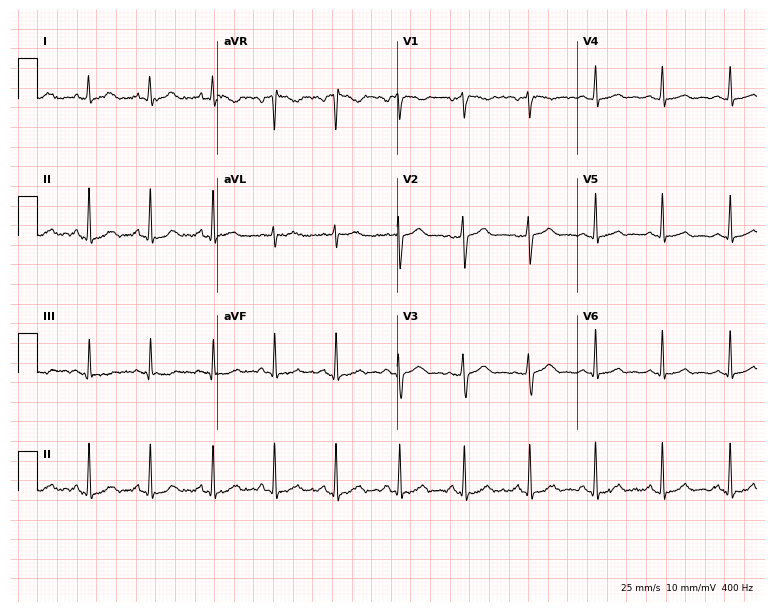
12-lead ECG from a female patient, 32 years old (7.3-second recording at 400 Hz). Recorded interpretation: within normal limits.